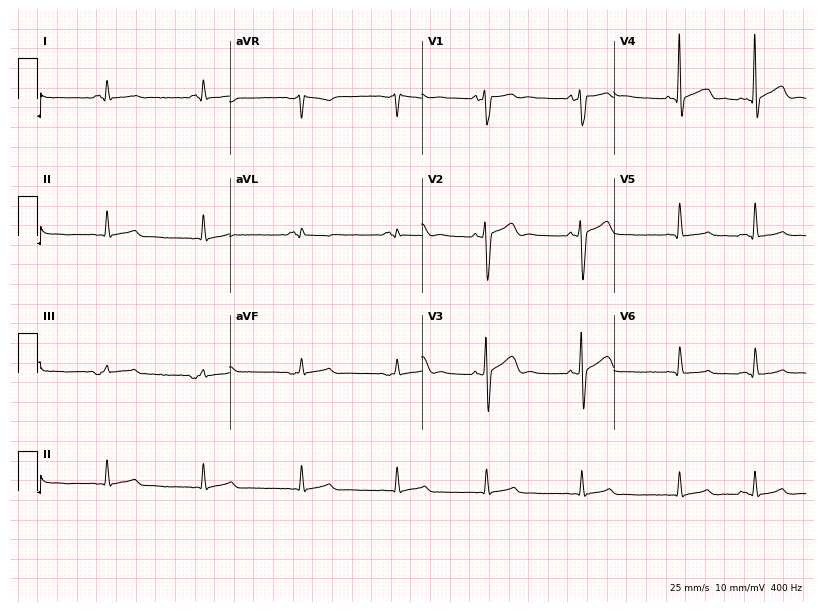
12-lead ECG (7.8-second recording at 400 Hz) from a male, 64 years old. Screened for six findings — first-degree AV block, right bundle branch block, left bundle branch block, sinus bradycardia, atrial fibrillation, sinus tachycardia — none is recorded. Other findings, if any, are not listed.